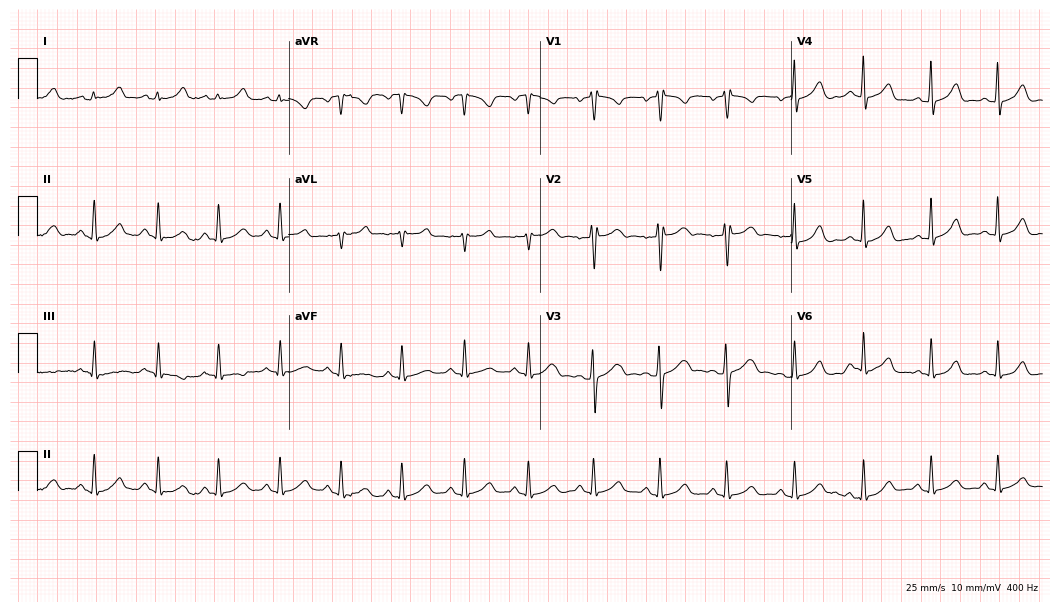
ECG — a female, 29 years old. Labelled as a normal ECG.